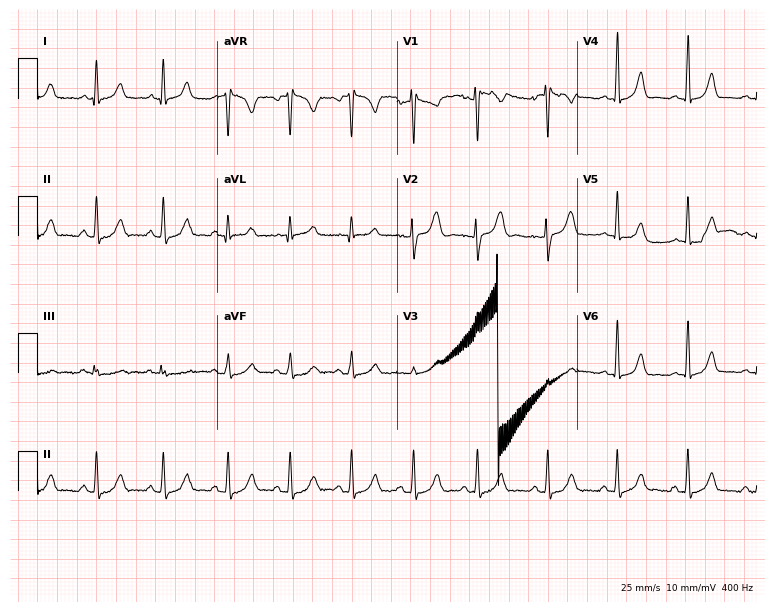
12-lead ECG from a female patient, 23 years old. Labelled as a normal ECG.